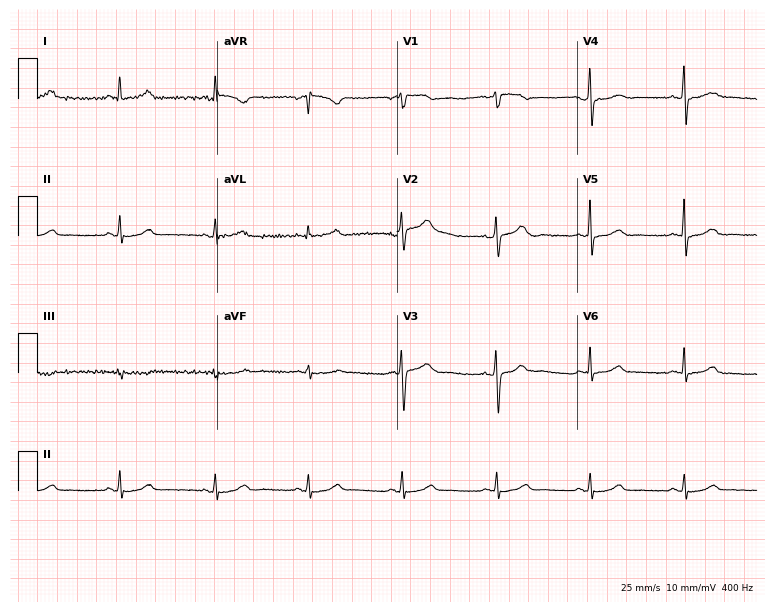
12-lead ECG from a 48-year-old female patient. Recorded interpretation: within normal limits.